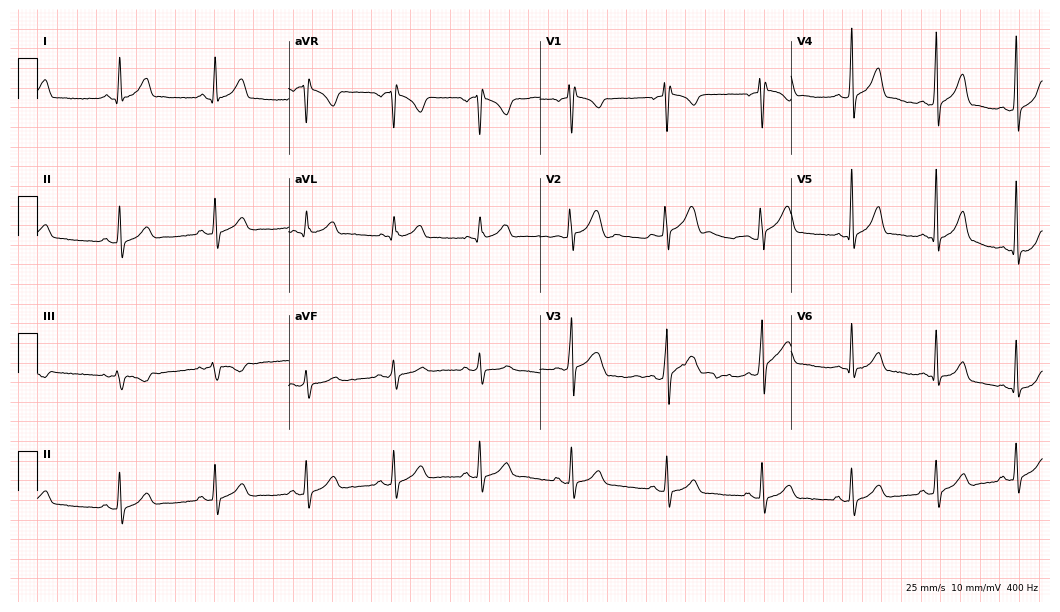
ECG — a 28-year-old man. Labelled as a normal ECG.